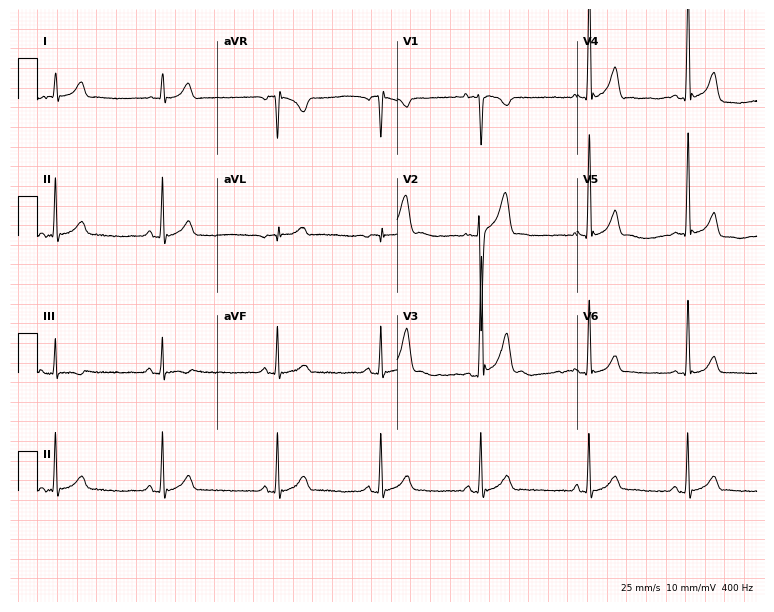
Standard 12-lead ECG recorded from a male, 20 years old. Read as a normal ECG.